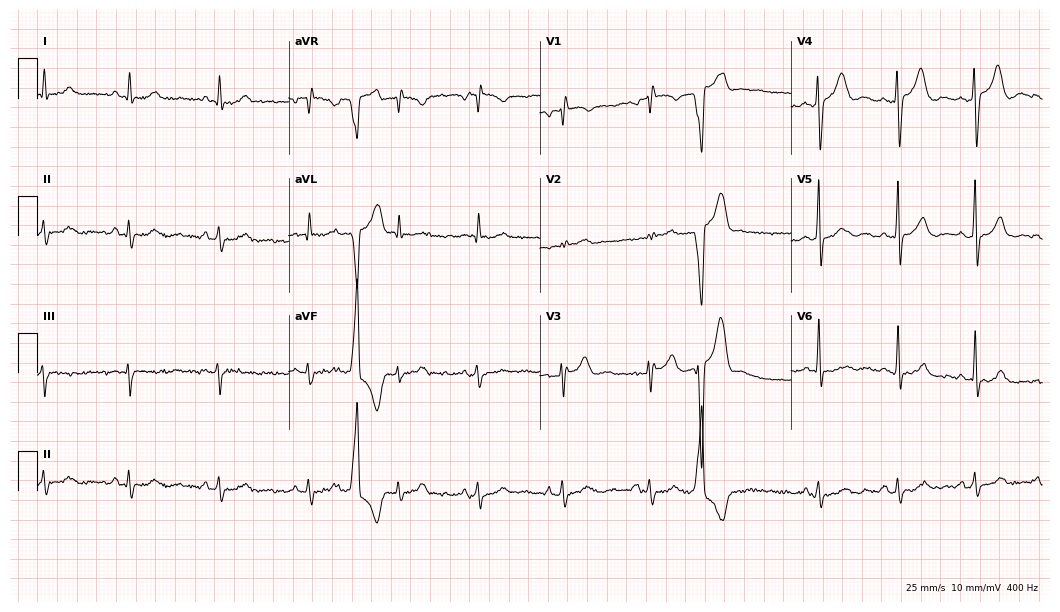
Resting 12-lead electrocardiogram (10.2-second recording at 400 Hz). Patient: a male, 49 years old. None of these six findings is recorded: first-degree AV block, right bundle branch block (RBBB), left bundle branch block (LBBB), sinus bradycardia, atrial fibrillation (AF), sinus tachycardia. Only these six findings were labelled.